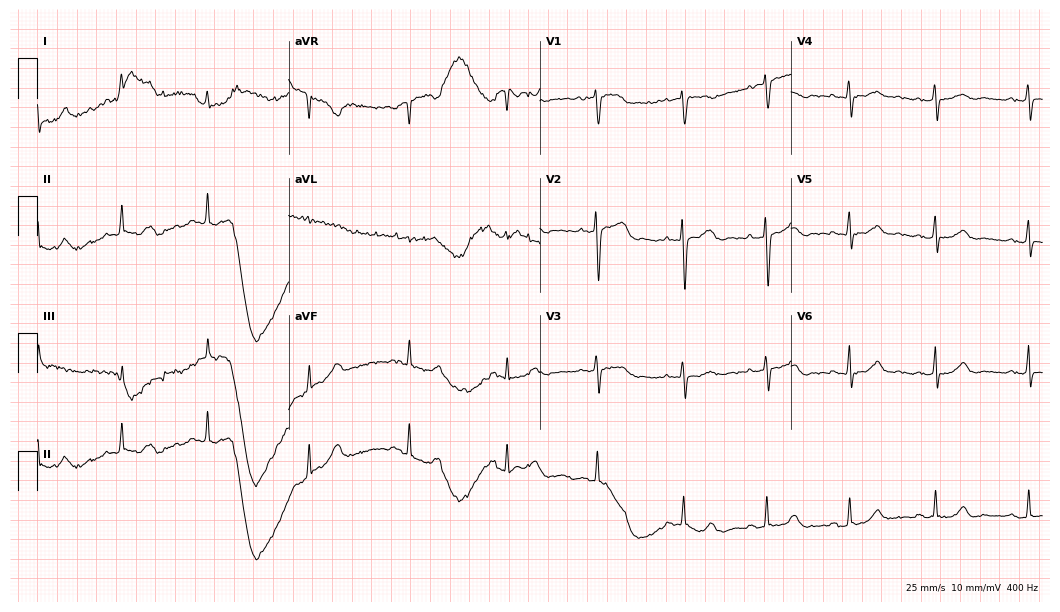
ECG (10.2-second recording at 400 Hz) — a 42-year-old female patient. Labelled as a normal ECG.